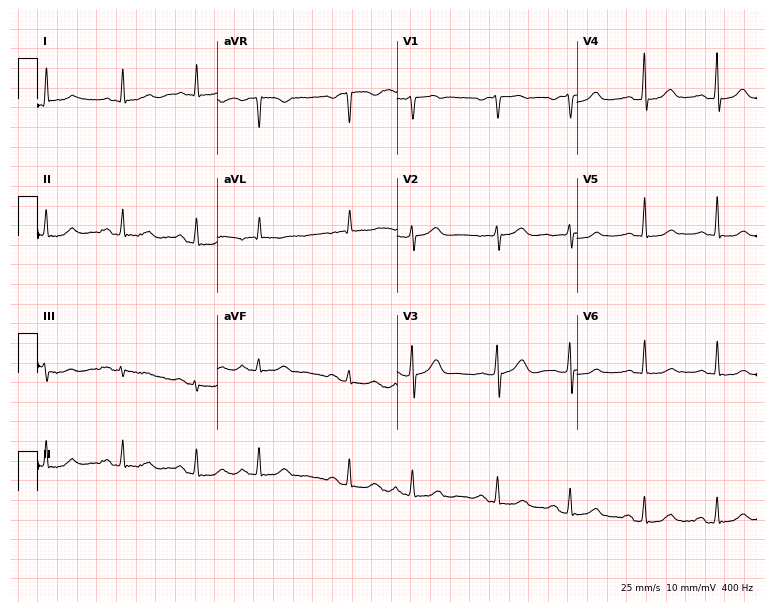
Resting 12-lead electrocardiogram. Patient: a 66-year-old female. None of these six findings is recorded: first-degree AV block, right bundle branch block, left bundle branch block, sinus bradycardia, atrial fibrillation, sinus tachycardia.